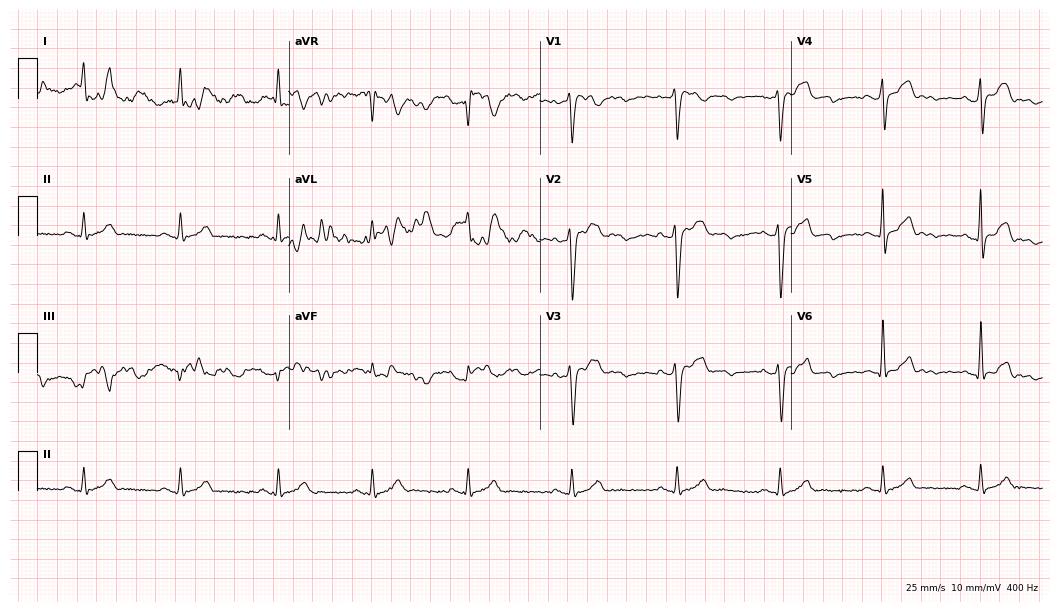
12-lead ECG from a male patient, 32 years old. Screened for six findings — first-degree AV block, right bundle branch block, left bundle branch block, sinus bradycardia, atrial fibrillation, sinus tachycardia — none is recorded. Findings outside these six are not listed.